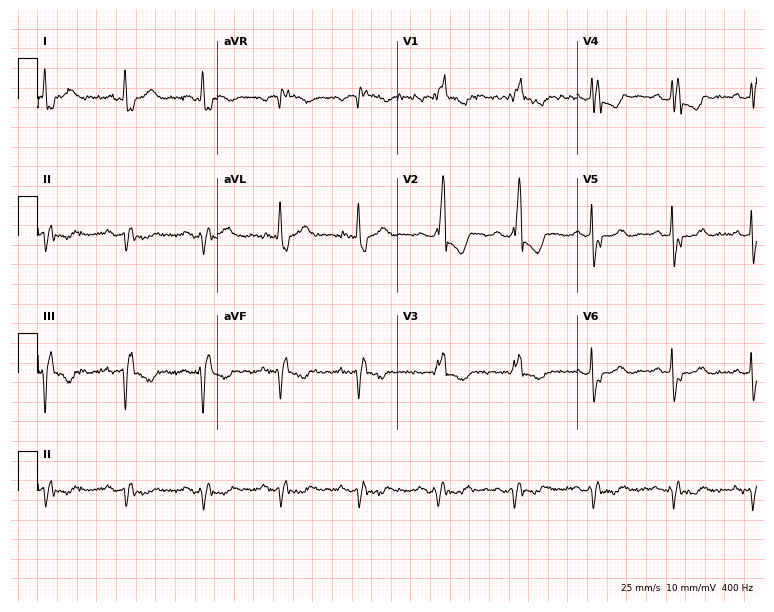
Standard 12-lead ECG recorded from an 83-year-old female patient. The tracing shows right bundle branch block.